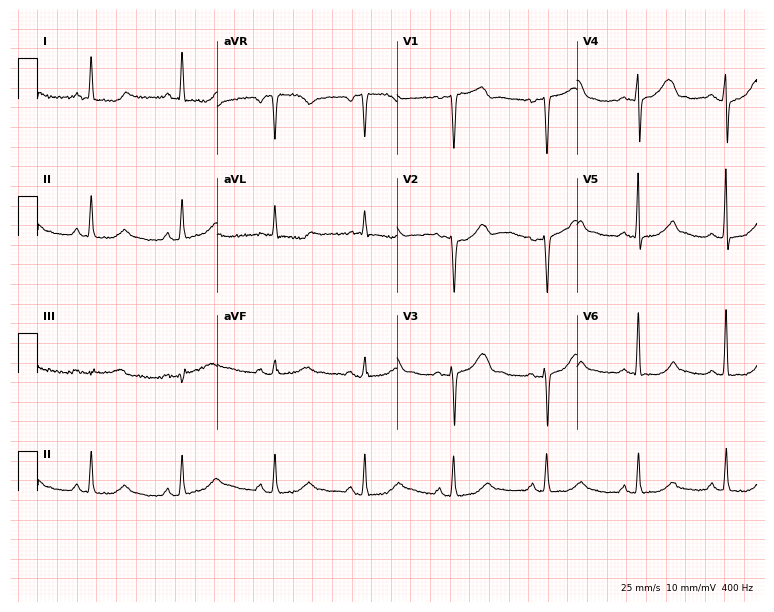
12-lead ECG from a 49-year-old female. Labelled as a normal ECG.